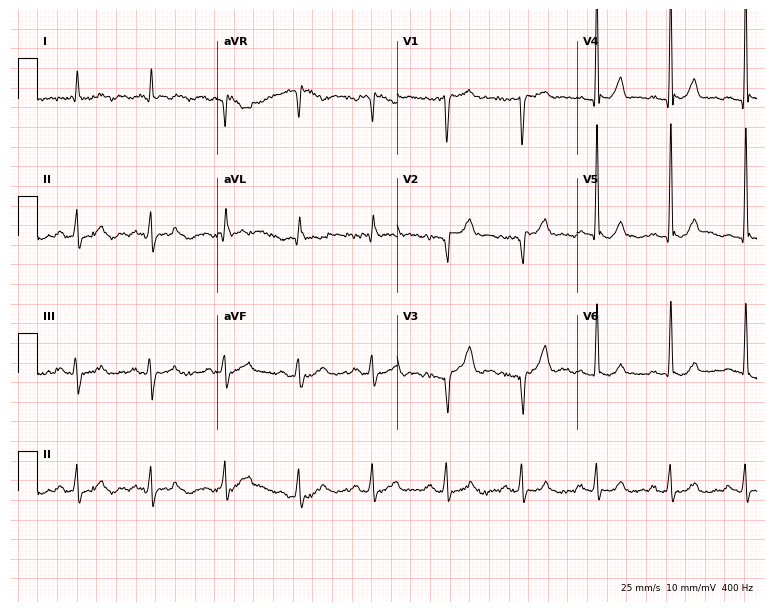
Resting 12-lead electrocardiogram. Patient: a 66-year-old male. None of these six findings is recorded: first-degree AV block, right bundle branch block (RBBB), left bundle branch block (LBBB), sinus bradycardia, atrial fibrillation (AF), sinus tachycardia.